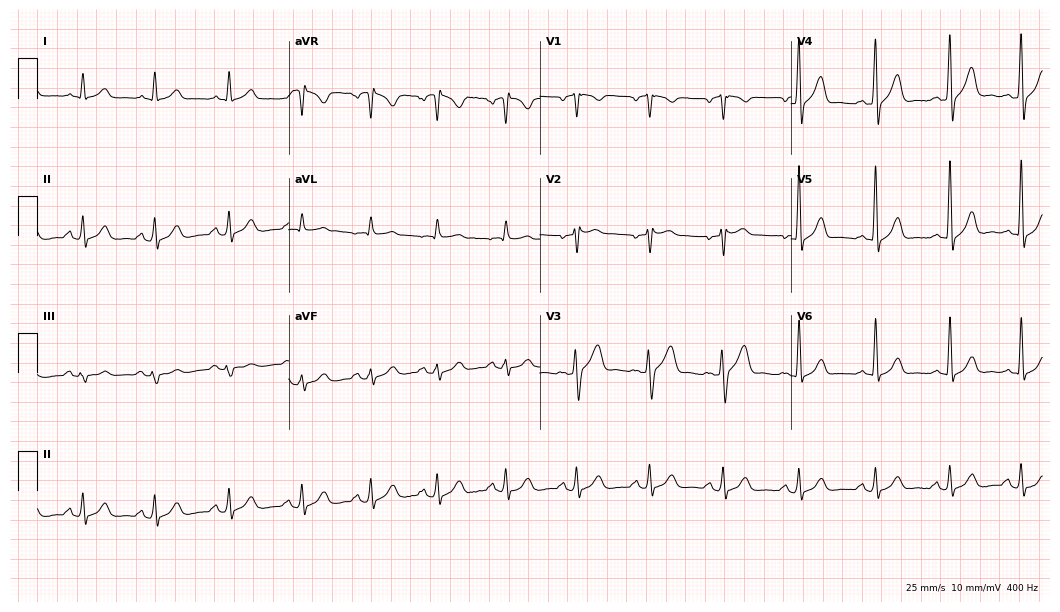
12-lead ECG from a man, 43 years old (10.2-second recording at 400 Hz). Recorded interpretation: within normal limits.